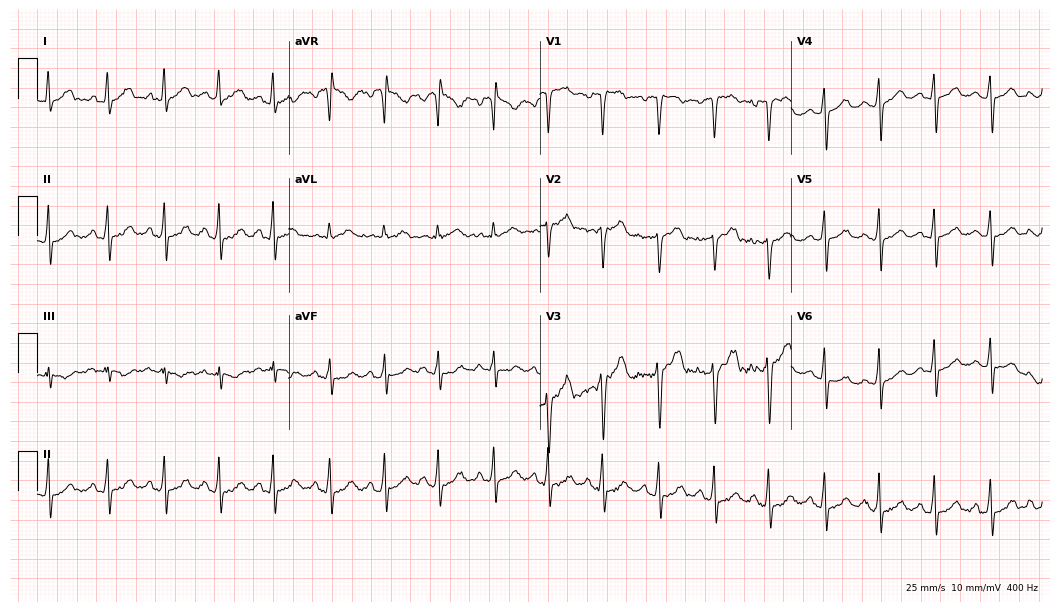
Resting 12-lead electrocardiogram. Patient: a female, 29 years old. None of these six findings is recorded: first-degree AV block, right bundle branch block (RBBB), left bundle branch block (LBBB), sinus bradycardia, atrial fibrillation (AF), sinus tachycardia.